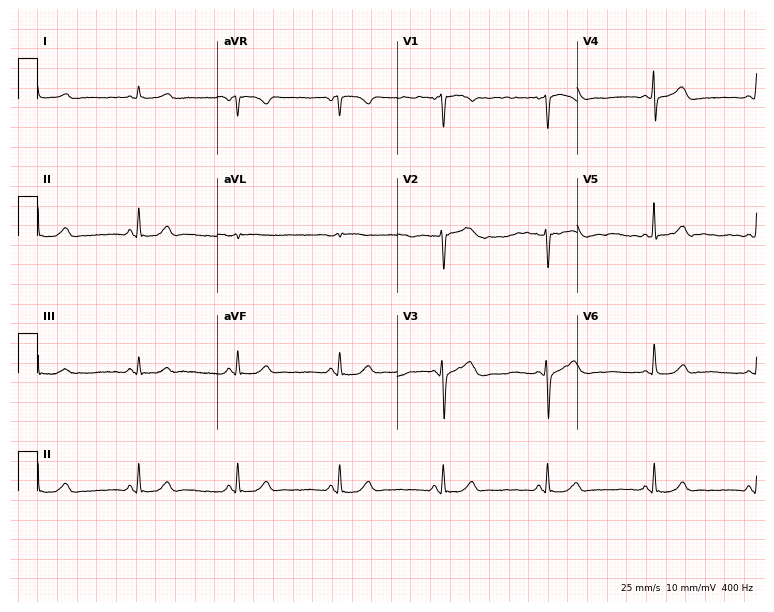
12-lead ECG (7.3-second recording at 400 Hz) from a woman, 54 years old. Screened for six findings — first-degree AV block, right bundle branch block, left bundle branch block, sinus bradycardia, atrial fibrillation, sinus tachycardia — none is recorded.